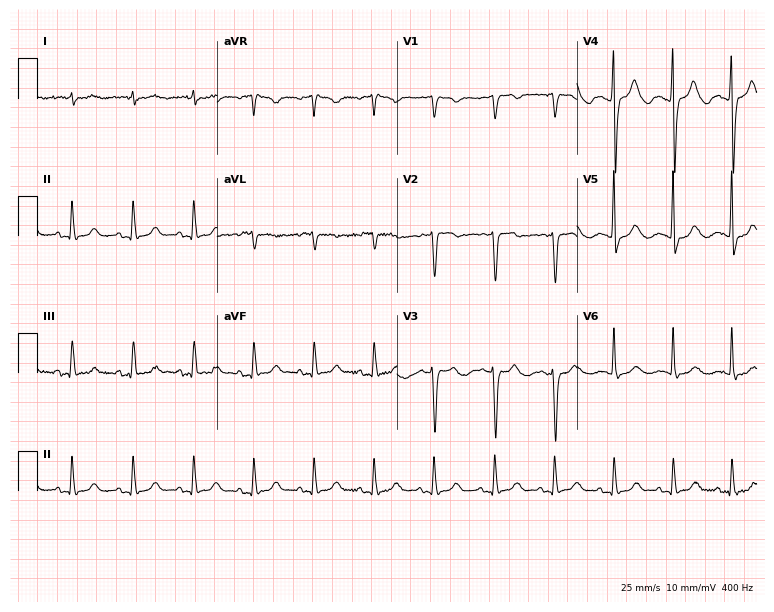
Standard 12-lead ECG recorded from a 75-year-old female patient (7.3-second recording at 400 Hz). None of these six findings is recorded: first-degree AV block, right bundle branch block, left bundle branch block, sinus bradycardia, atrial fibrillation, sinus tachycardia. Findings outside these six are not listed.